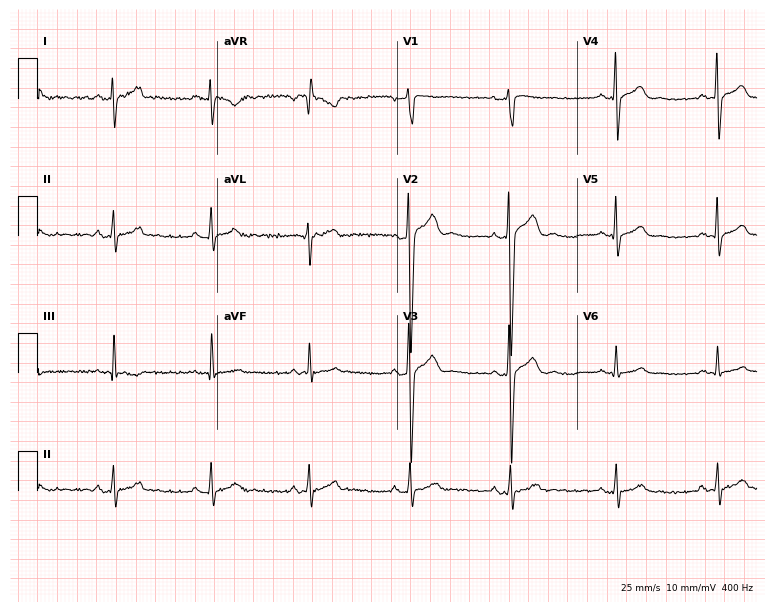
Electrocardiogram (7.3-second recording at 400 Hz), a man, 23 years old. Overall reading on record: normal ECG.